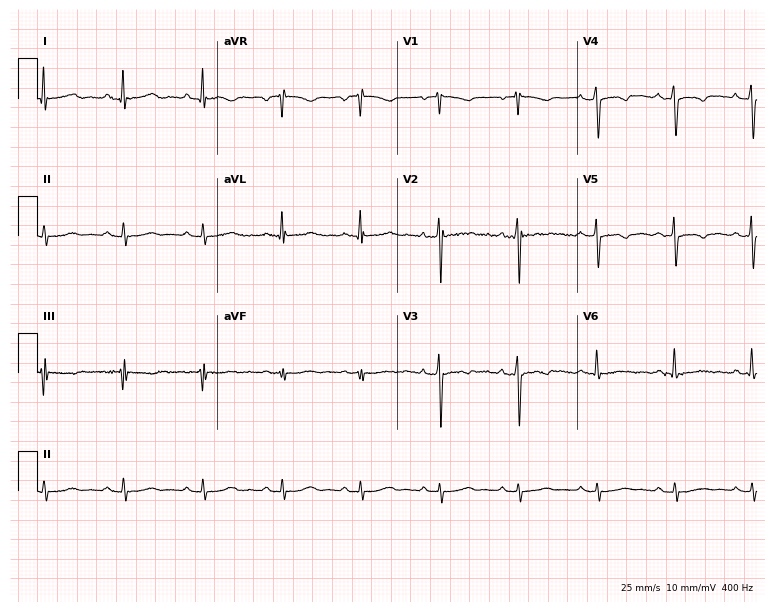
Standard 12-lead ECG recorded from a woman, 38 years old (7.3-second recording at 400 Hz). None of these six findings is recorded: first-degree AV block, right bundle branch block, left bundle branch block, sinus bradycardia, atrial fibrillation, sinus tachycardia.